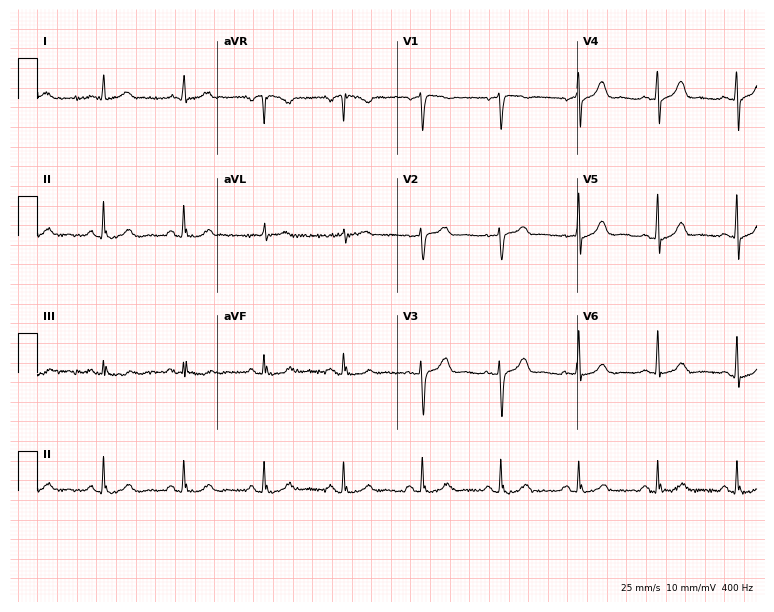
Standard 12-lead ECG recorded from a woman, 70 years old. Read as a normal ECG.